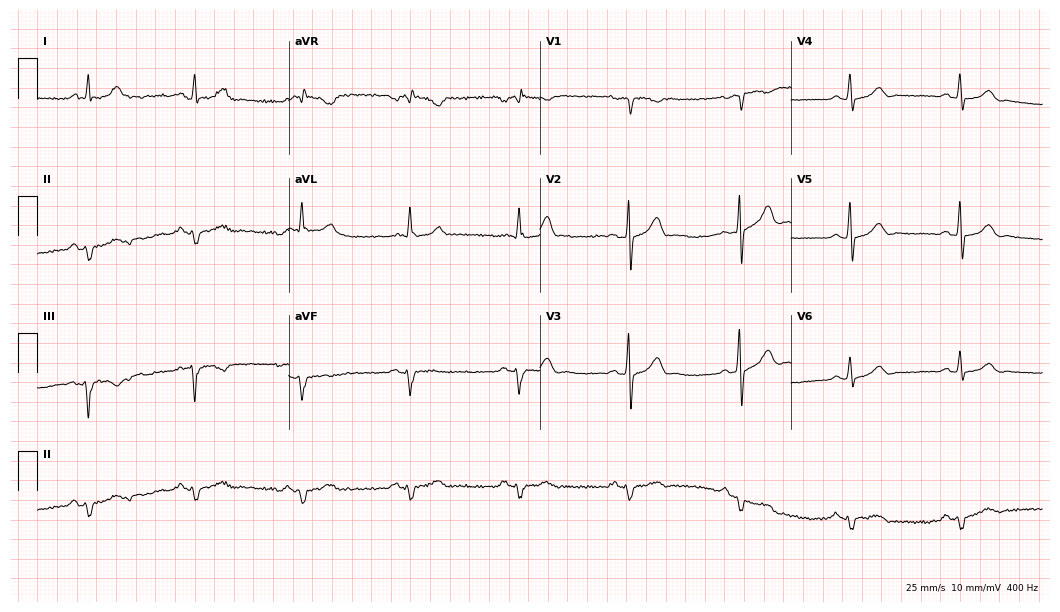
Resting 12-lead electrocardiogram. Patient: a man, 62 years old. None of these six findings is recorded: first-degree AV block, right bundle branch block, left bundle branch block, sinus bradycardia, atrial fibrillation, sinus tachycardia.